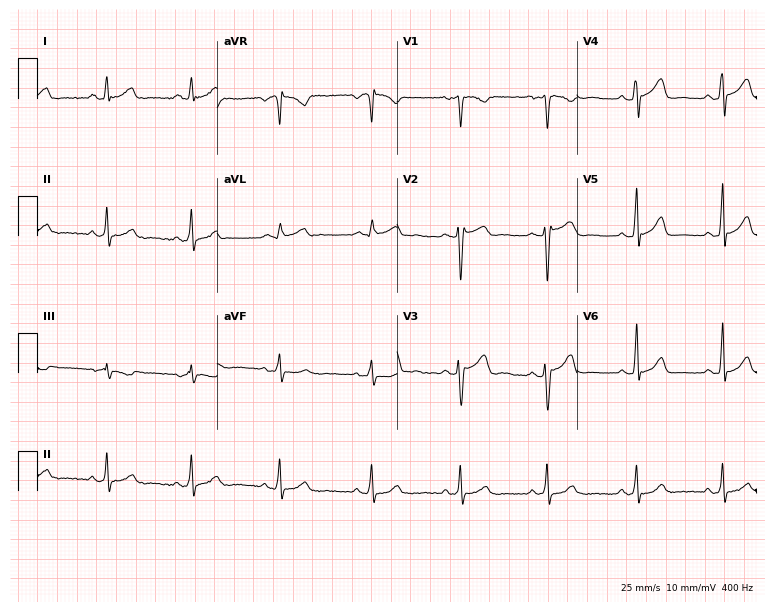
ECG (7.3-second recording at 400 Hz) — a 29-year-old woman. Screened for six findings — first-degree AV block, right bundle branch block (RBBB), left bundle branch block (LBBB), sinus bradycardia, atrial fibrillation (AF), sinus tachycardia — none is recorded. Other findings, if any, are not listed.